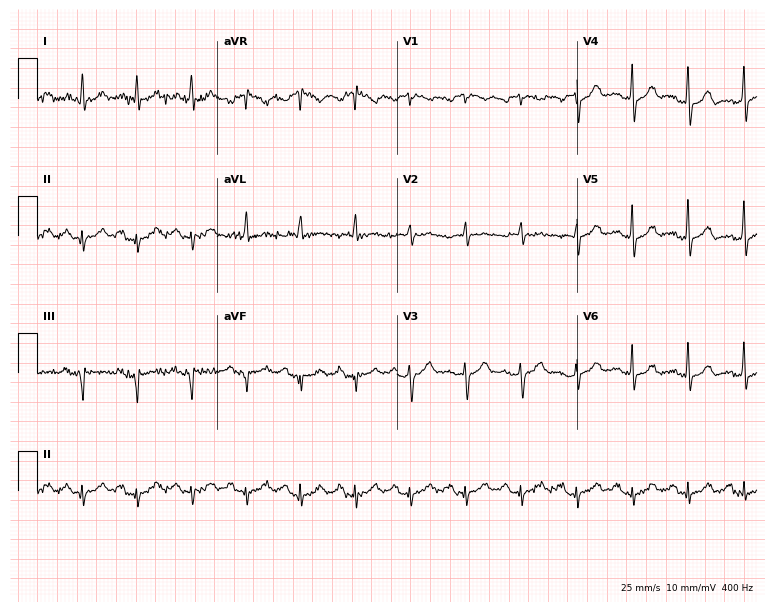
12-lead ECG (7.3-second recording at 400 Hz) from a male, 71 years old. Findings include sinus tachycardia (a sinus rate of 100 beats per minute or more).